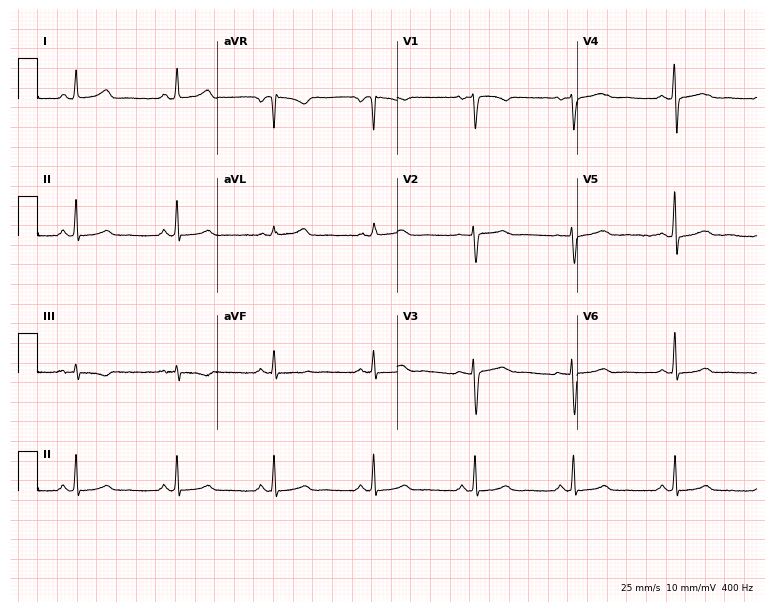
12-lead ECG from a 50-year-old female patient (7.3-second recording at 400 Hz). Recorded interpretation: within normal limits.